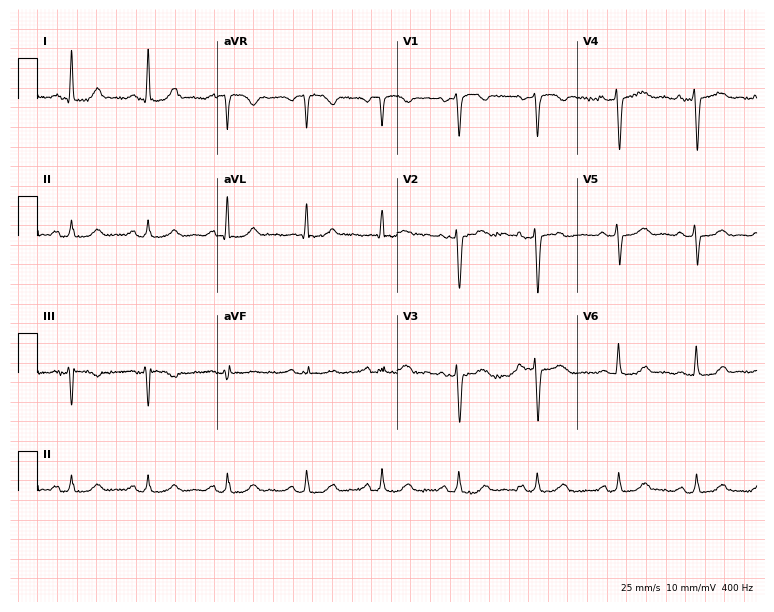
ECG — a 50-year-old female patient. Screened for six findings — first-degree AV block, right bundle branch block (RBBB), left bundle branch block (LBBB), sinus bradycardia, atrial fibrillation (AF), sinus tachycardia — none is recorded. Only these six findings were labelled.